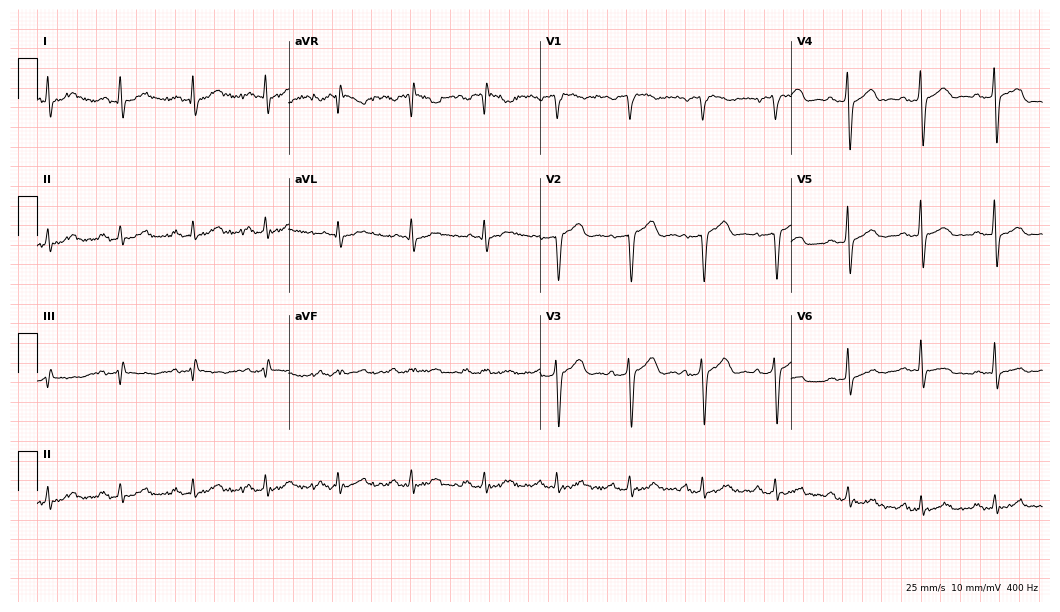
Standard 12-lead ECG recorded from a male patient, 61 years old (10.2-second recording at 400 Hz). None of these six findings is recorded: first-degree AV block, right bundle branch block, left bundle branch block, sinus bradycardia, atrial fibrillation, sinus tachycardia. Only these six findings were labelled.